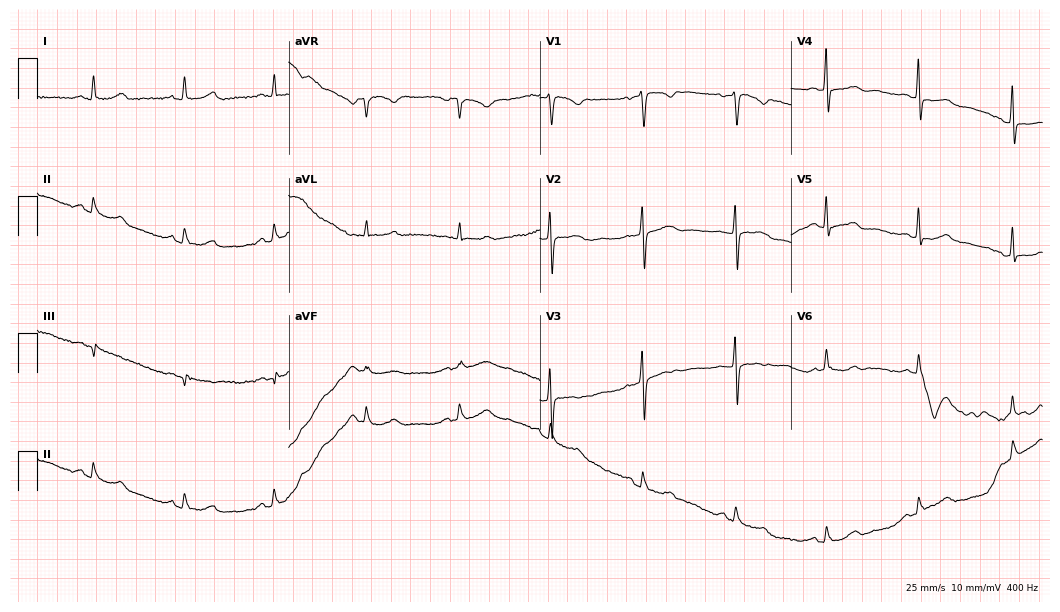
ECG (10.2-second recording at 400 Hz) — a woman, 70 years old. Labelled as a normal ECG.